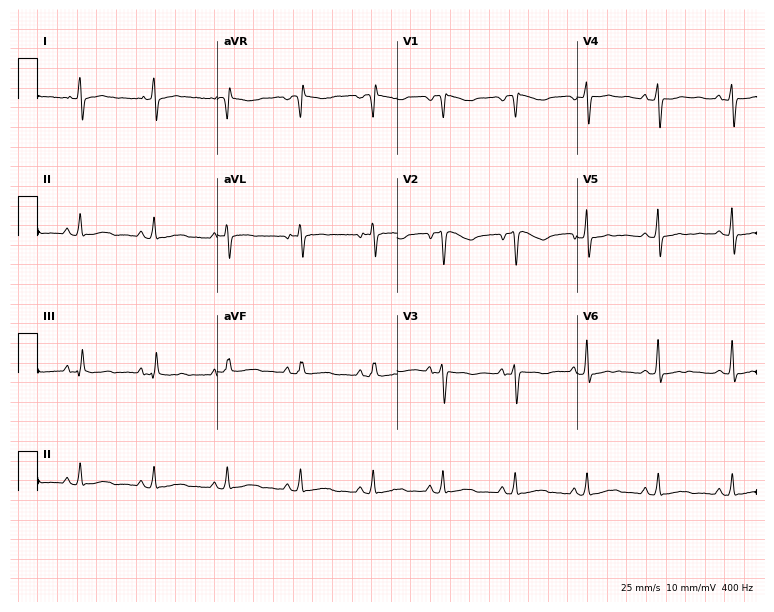
ECG (7.3-second recording at 400 Hz) — a 35-year-old female patient. Screened for six findings — first-degree AV block, right bundle branch block, left bundle branch block, sinus bradycardia, atrial fibrillation, sinus tachycardia — none is recorded.